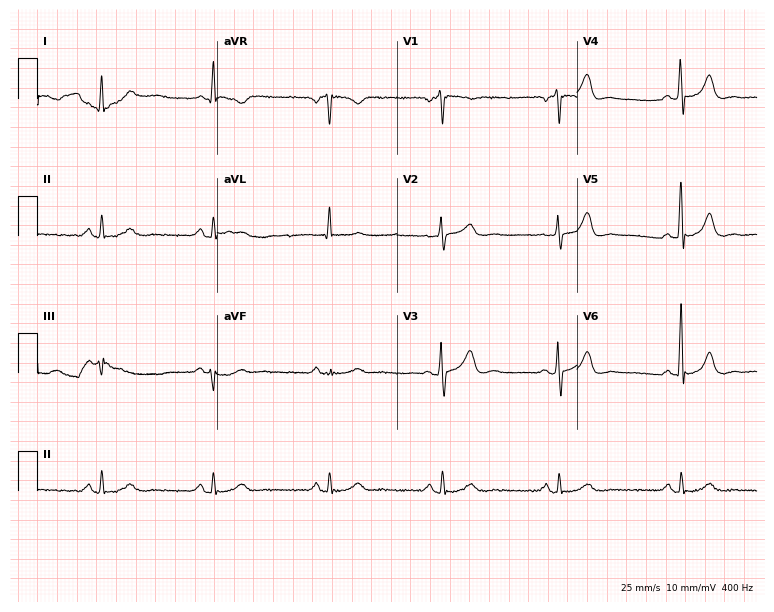
12-lead ECG (7.3-second recording at 400 Hz) from a male patient, 66 years old. Screened for six findings — first-degree AV block, right bundle branch block, left bundle branch block, sinus bradycardia, atrial fibrillation, sinus tachycardia — none is recorded.